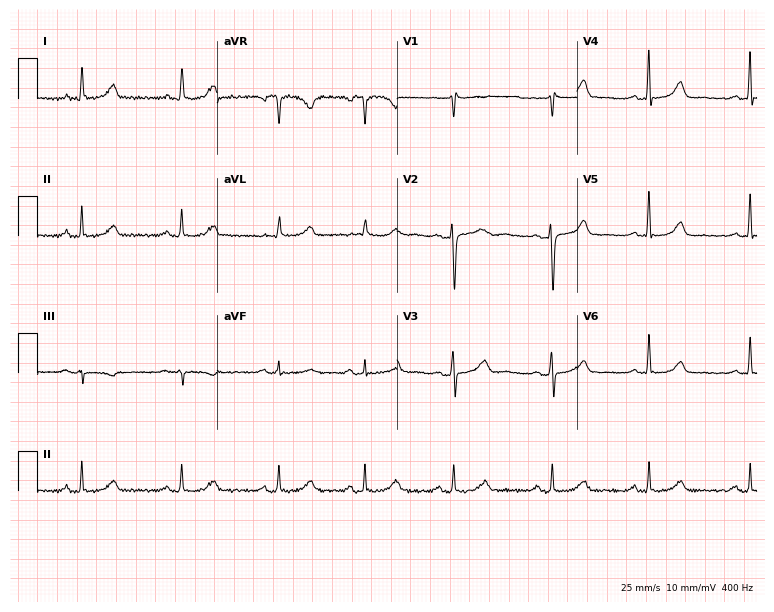
12-lead ECG from a 42-year-old woman. Labelled as a normal ECG.